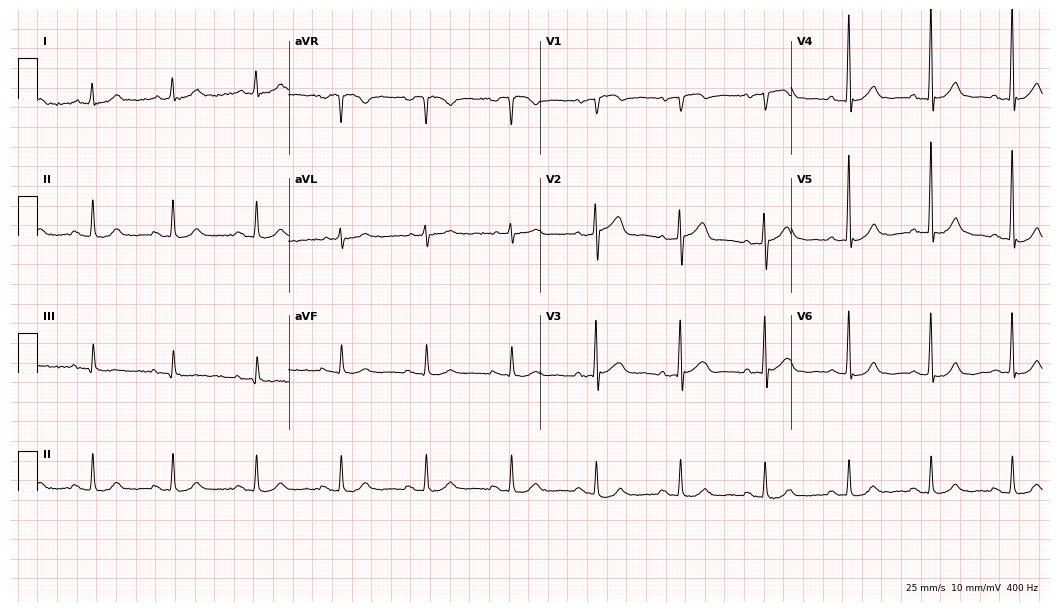
Resting 12-lead electrocardiogram (10.2-second recording at 400 Hz). Patient: a male, 71 years old. Read as a normal ECG.